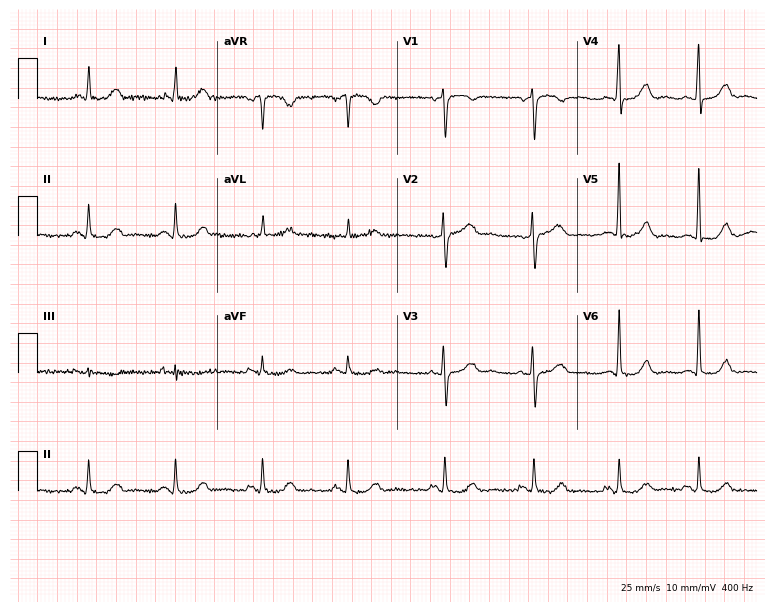
ECG (7.3-second recording at 400 Hz) — a 71-year-old female patient. Labelled as a normal ECG.